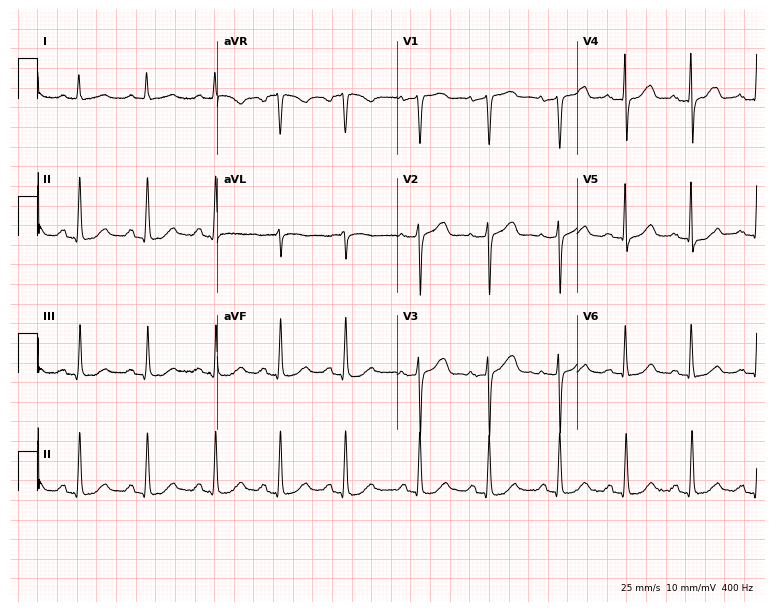
12-lead ECG from a 66-year-old woman. No first-degree AV block, right bundle branch block, left bundle branch block, sinus bradycardia, atrial fibrillation or sinus tachycardia recorded for this tracing. Findings outside these six are not listed.